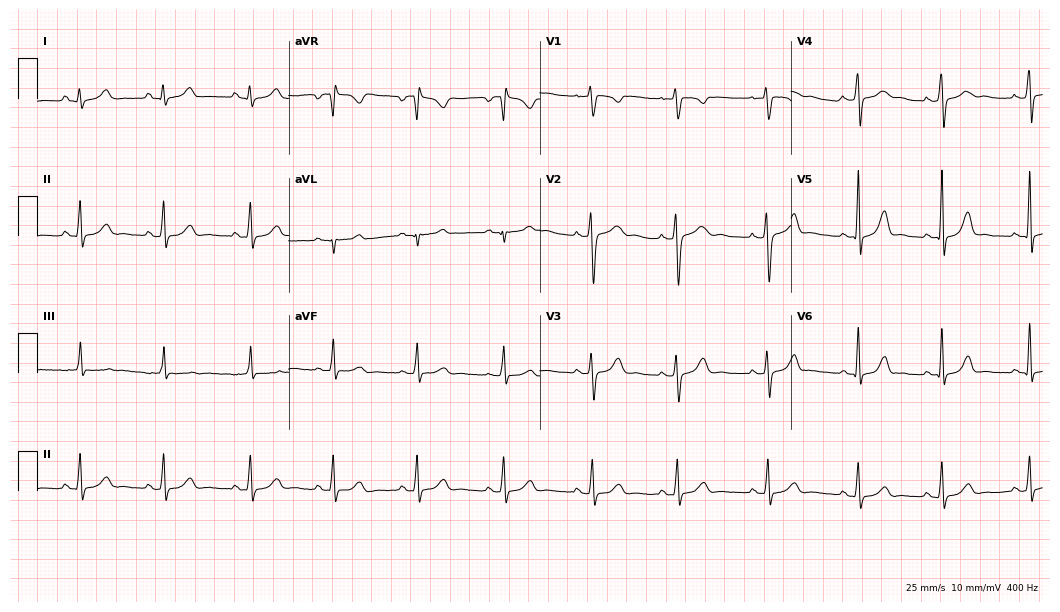
Electrocardiogram (10.2-second recording at 400 Hz), a female patient, 26 years old. Of the six screened findings (first-degree AV block, right bundle branch block, left bundle branch block, sinus bradycardia, atrial fibrillation, sinus tachycardia), none is recorded.